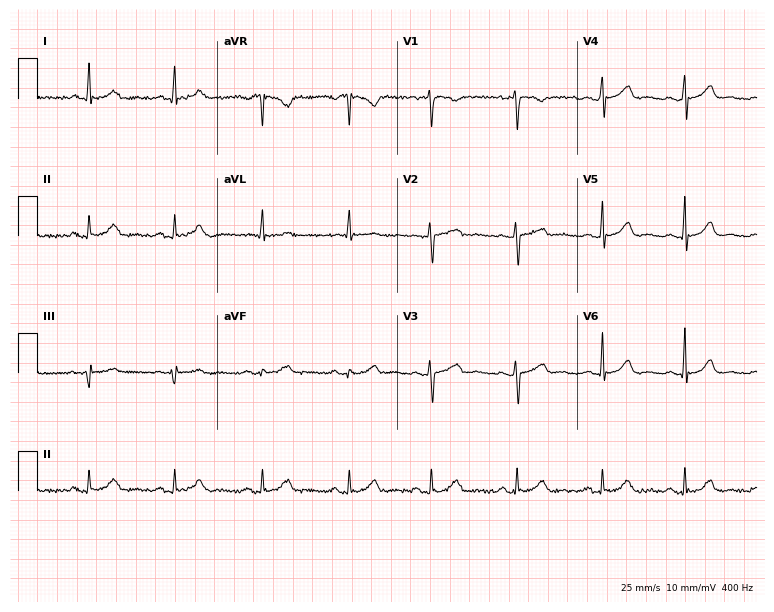
Standard 12-lead ECG recorded from a 36-year-old female patient. Read as a normal ECG.